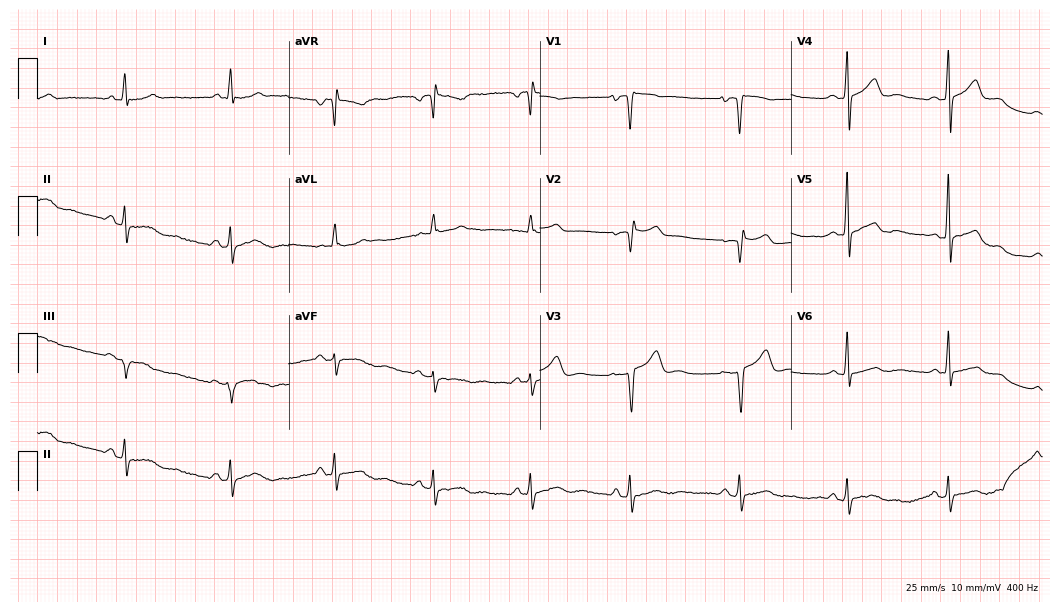
Standard 12-lead ECG recorded from a 48-year-old male. None of these six findings is recorded: first-degree AV block, right bundle branch block, left bundle branch block, sinus bradycardia, atrial fibrillation, sinus tachycardia. Other findings, if any, are not listed.